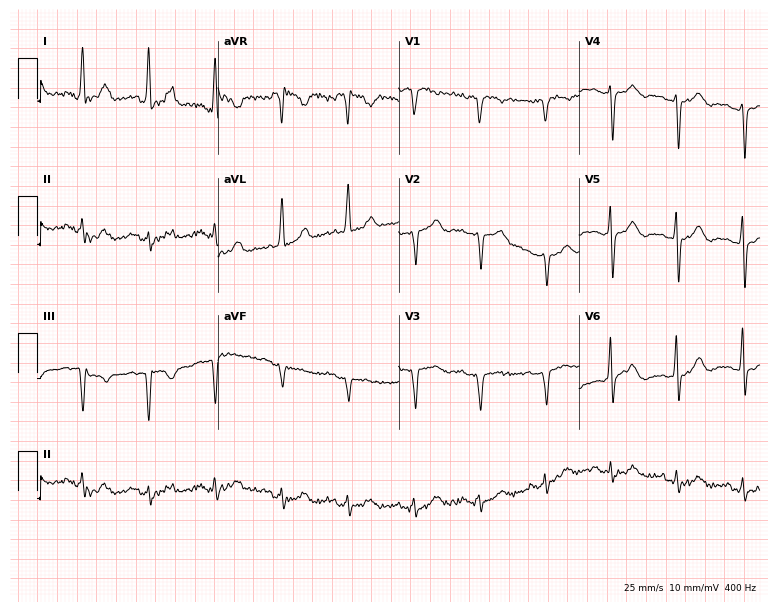
Electrocardiogram (7.4-second recording at 400 Hz), a female patient, 66 years old. Of the six screened findings (first-degree AV block, right bundle branch block (RBBB), left bundle branch block (LBBB), sinus bradycardia, atrial fibrillation (AF), sinus tachycardia), none is recorded. Only these six findings were labelled.